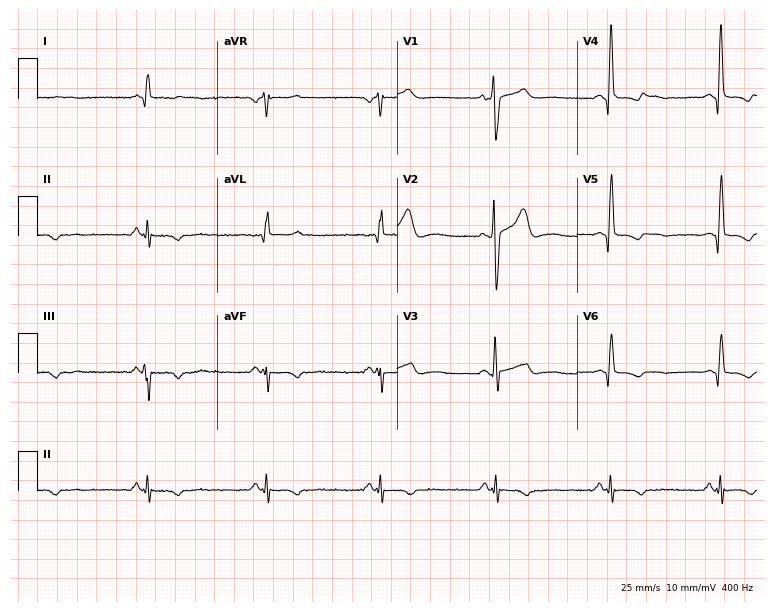
Resting 12-lead electrocardiogram (7.3-second recording at 400 Hz). Patient: a male, 47 years old. None of these six findings is recorded: first-degree AV block, right bundle branch block, left bundle branch block, sinus bradycardia, atrial fibrillation, sinus tachycardia. Other findings, if any, are not listed.